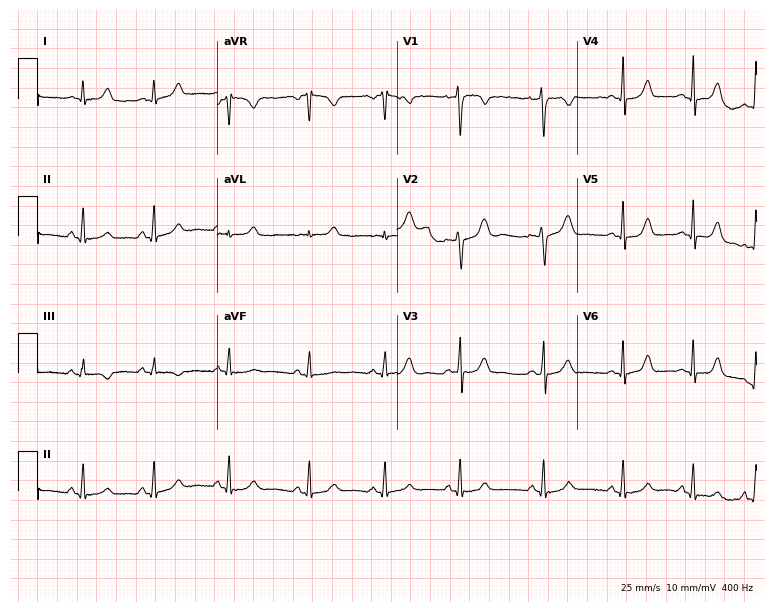
Electrocardiogram, a 21-year-old female. Overall reading on record: normal ECG.